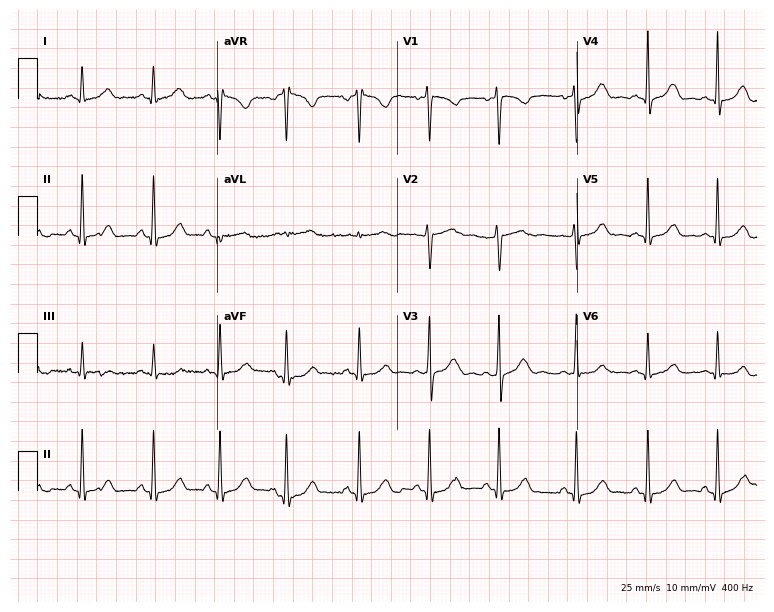
12-lead ECG (7.3-second recording at 400 Hz) from a 30-year-old woman. Labelled as a normal ECG.